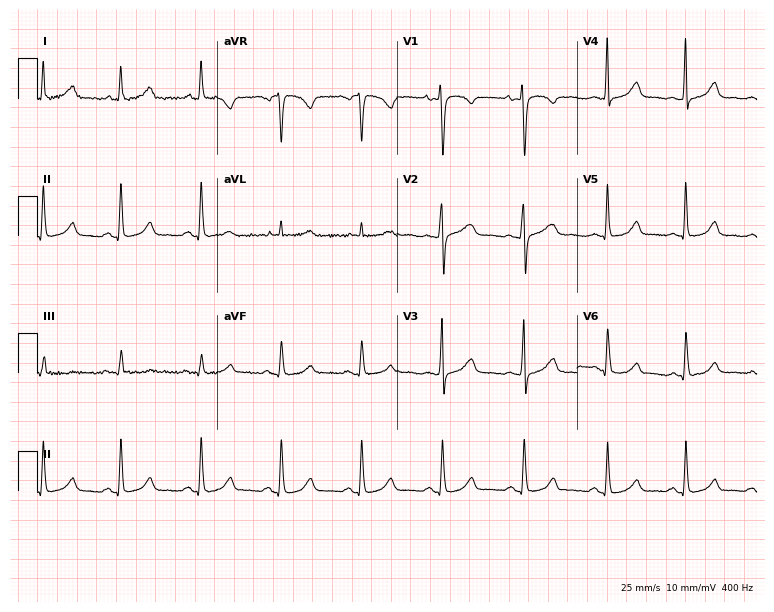
12-lead ECG from a 35-year-old female patient. Recorded interpretation: within normal limits.